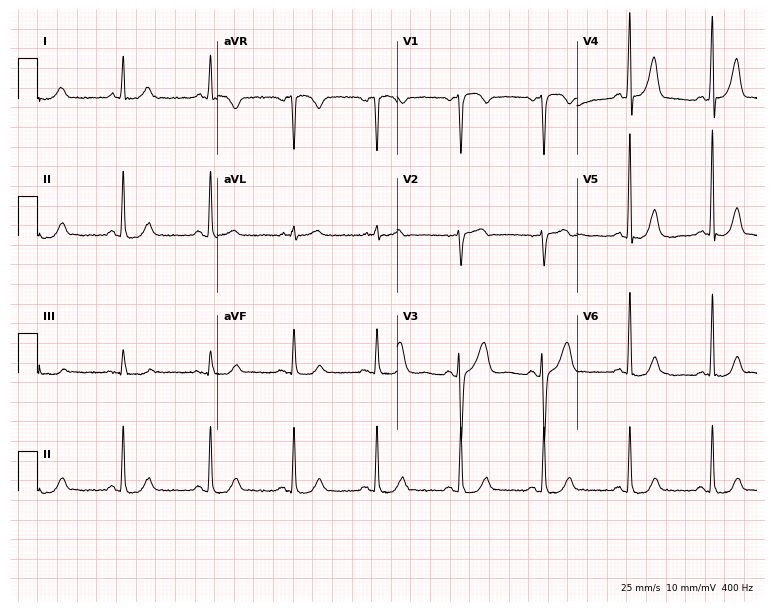
Electrocardiogram, a female, 69 years old. Of the six screened findings (first-degree AV block, right bundle branch block, left bundle branch block, sinus bradycardia, atrial fibrillation, sinus tachycardia), none is recorded. Only these six findings were labelled.